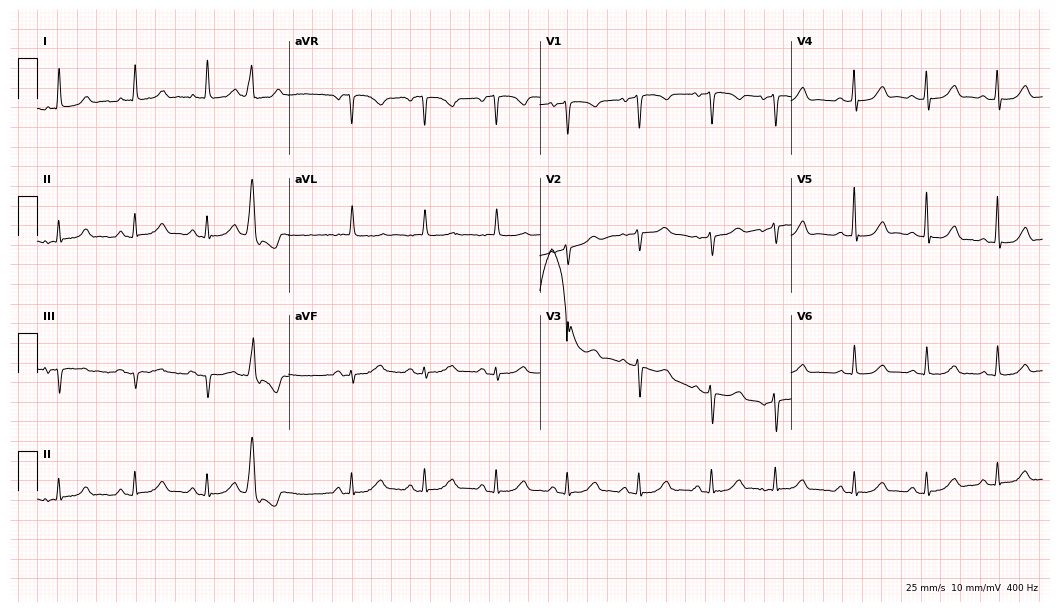
Resting 12-lead electrocardiogram (10.2-second recording at 400 Hz). Patient: a woman, 82 years old. None of these six findings is recorded: first-degree AV block, right bundle branch block, left bundle branch block, sinus bradycardia, atrial fibrillation, sinus tachycardia.